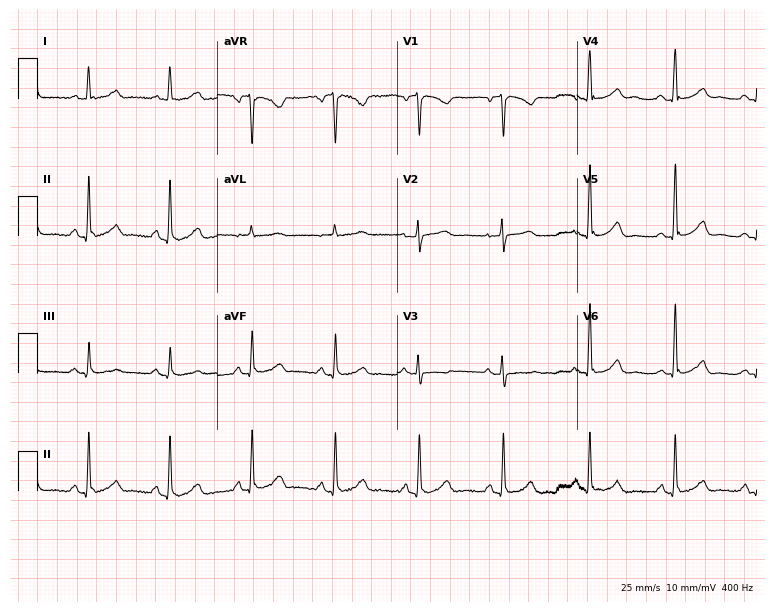
ECG (7.3-second recording at 400 Hz) — a 43-year-old female patient. Screened for six findings — first-degree AV block, right bundle branch block (RBBB), left bundle branch block (LBBB), sinus bradycardia, atrial fibrillation (AF), sinus tachycardia — none is recorded. Only these six findings were labelled.